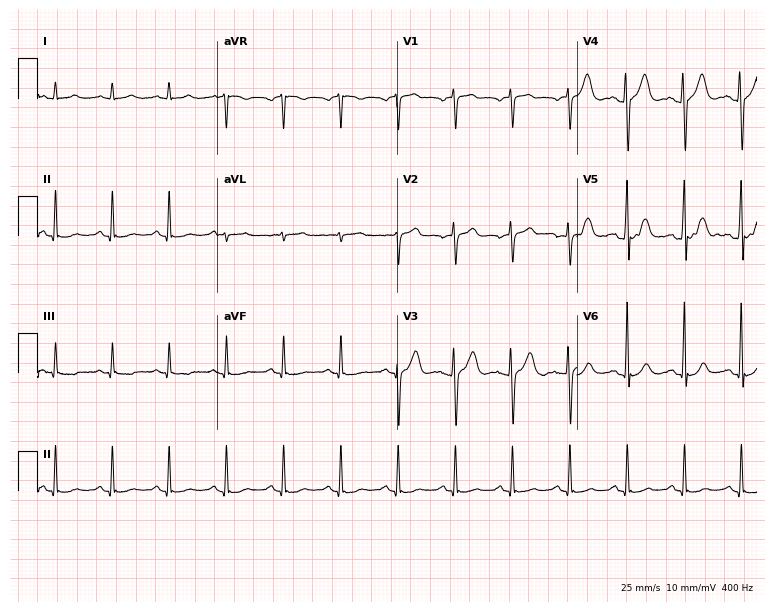
ECG (7.3-second recording at 400 Hz) — a man, 43 years old. Findings include sinus tachycardia (a sinus rate of 100 beats per minute or more).